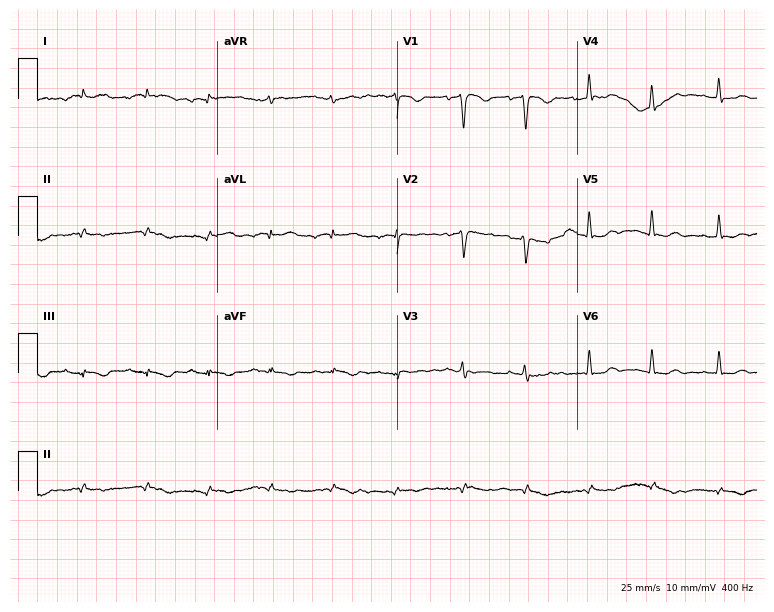
12-lead ECG from a 42-year-old female patient (7.3-second recording at 400 Hz). No first-degree AV block, right bundle branch block, left bundle branch block, sinus bradycardia, atrial fibrillation or sinus tachycardia recorded for this tracing. Other findings, if any, are not listed.